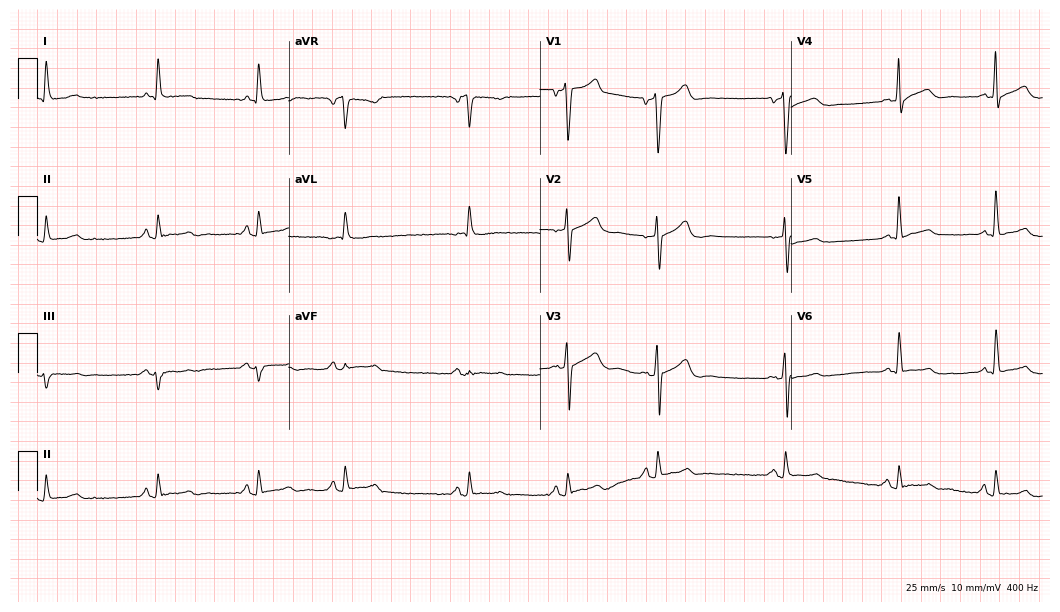
12-lead ECG (10.2-second recording at 400 Hz) from a man, 64 years old. Screened for six findings — first-degree AV block, right bundle branch block, left bundle branch block, sinus bradycardia, atrial fibrillation, sinus tachycardia — none is recorded.